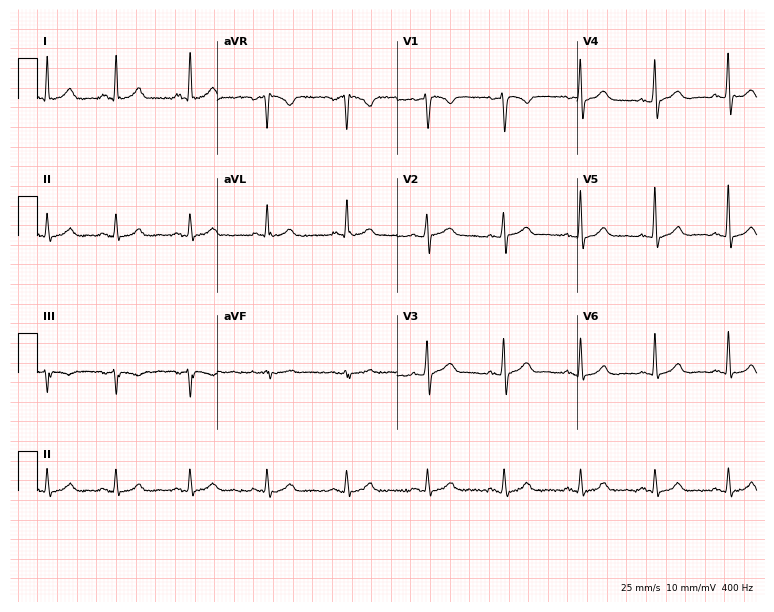
Standard 12-lead ECG recorded from a man, 37 years old. None of these six findings is recorded: first-degree AV block, right bundle branch block, left bundle branch block, sinus bradycardia, atrial fibrillation, sinus tachycardia.